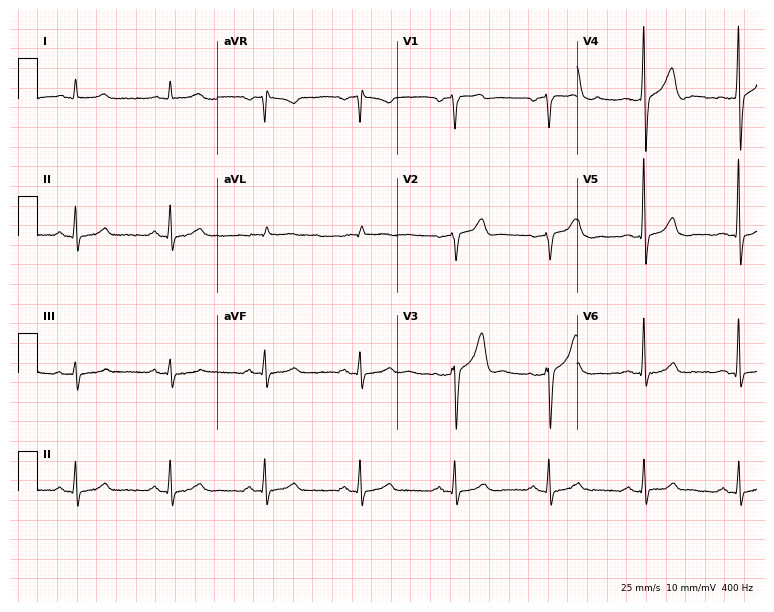
12-lead ECG from a 63-year-old male. Screened for six findings — first-degree AV block, right bundle branch block, left bundle branch block, sinus bradycardia, atrial fibrillation, sinus tachycardia — none is recorded.